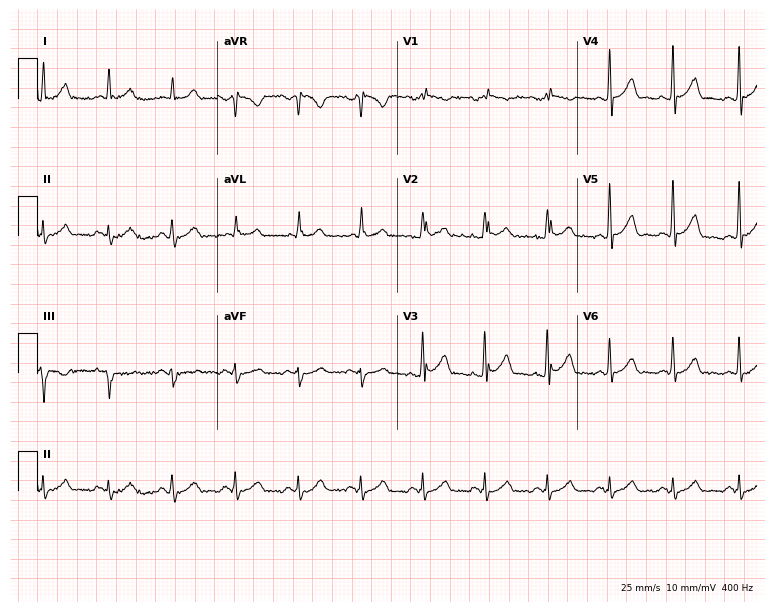
Standard 12-lead ECG recorded from a man, 37 years old (7.3-second recording at 400 Hz). Read as a normal ECG.